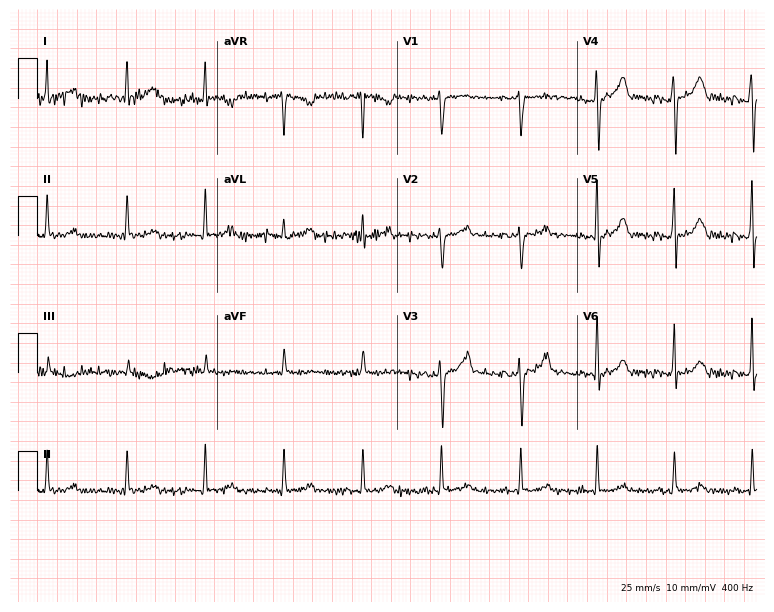
12-lead ECG from a 29-year-old woman. Screened for six findings — first-degree AV block, right bundle branch block, left bundle branch block, sinus bradycardia, atrial fibrillation, sinus tachycardia — none is recorded.